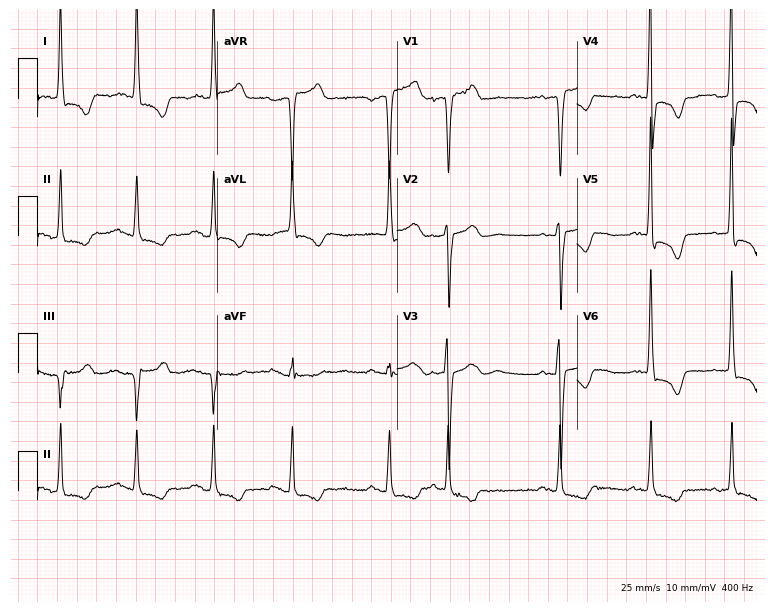
Electrocardiogram, a female patient, 58 years old. Of the six screened findings (first-degree AV block, right bundle branch block, left bundle branch block, sinus bradycardia, atrial fibrillation, sinus tachycardia), none is recorded. Findings outside these six are not listed.